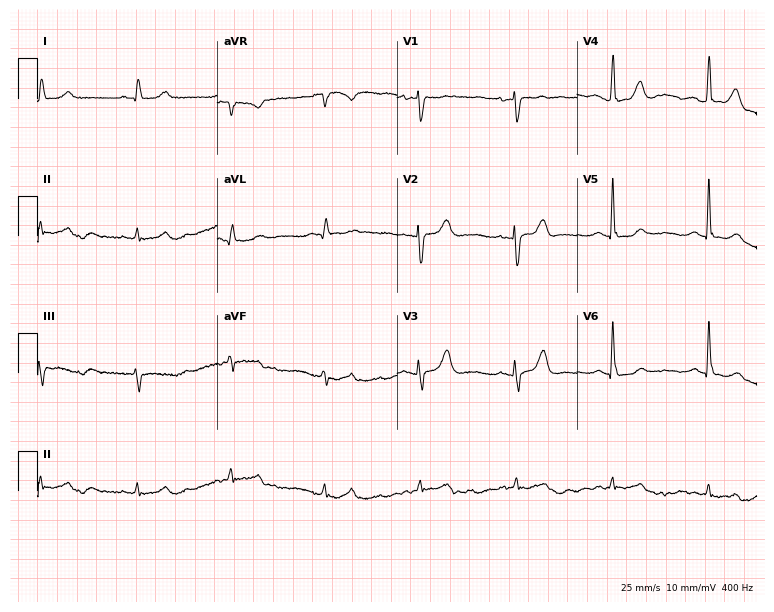
12-lead ECG from a female patient, 68 years old (7.3-second recording at 400 Hz). Recorded interpretation: within normal limits.